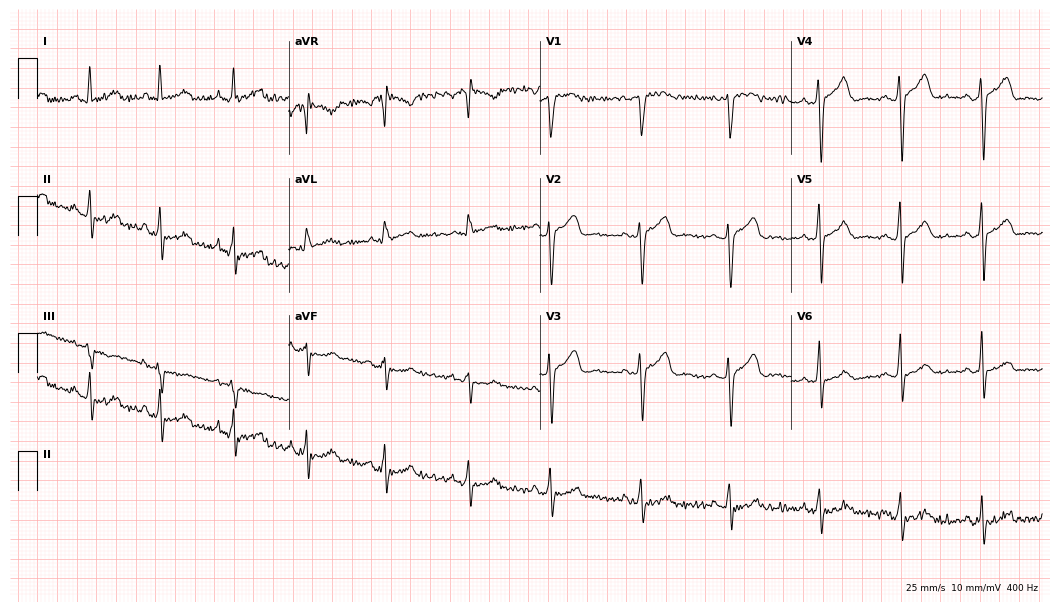
ECG (10.2-second recording at 400 Hz) — a 32-year-old female. Labelled as a normal ECG.